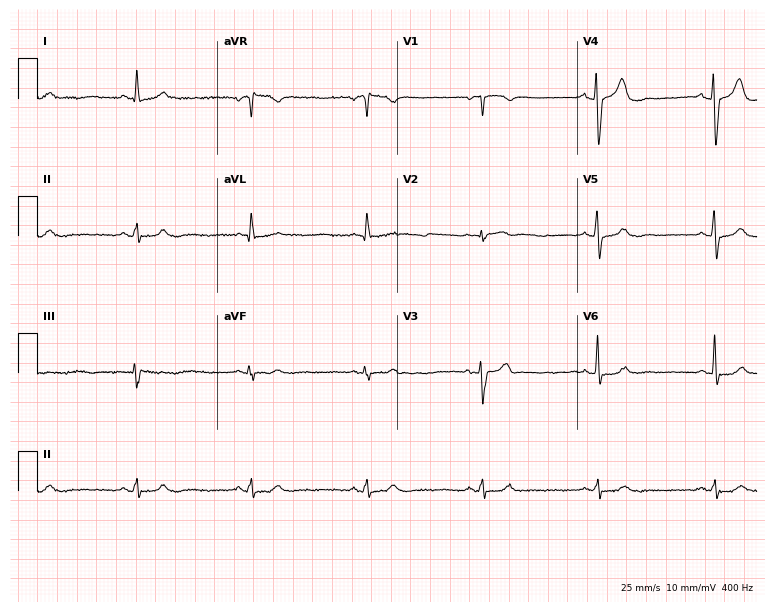
12-lead ECG (7.3-second recording at 400 Hz) from a 69-year-old male. Findings include sinus bradycardia (a sinus rate of 50 beats per minute or less).